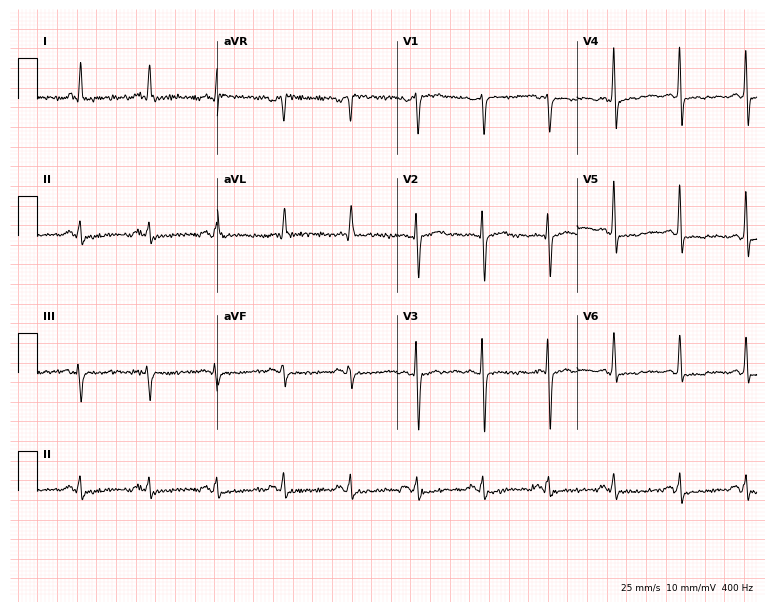
Electrocardiogram (7.3-second recording at 400 Hz), a male, 59 years old. Of the six screened findings (first-degree AV block, right bundle branch block, left bundle branch block, sinus bradycardia, atrial fibrillation, sinus tachycardia), none is recorded.